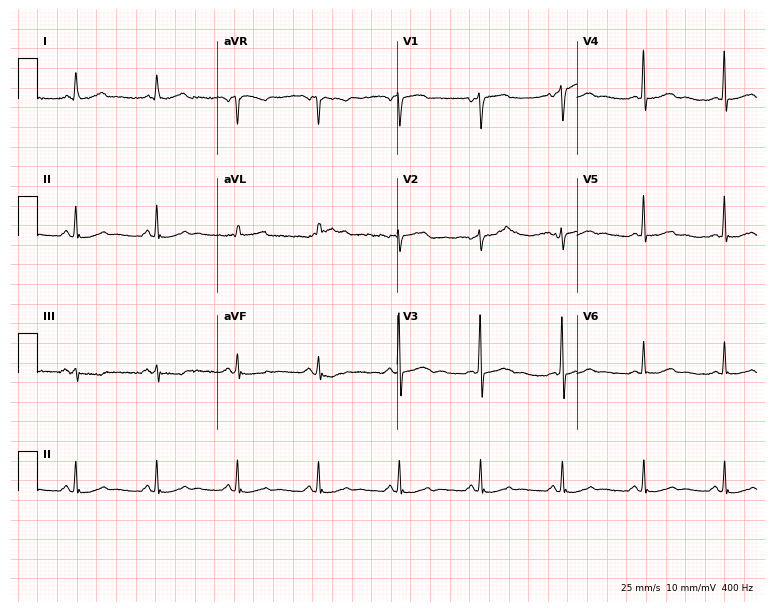
Standard 12-lead ECG recorded from a female, 45 years old (7.3-second recording at 400 Hz). None of these six findings is recorded: first-degree AV block, right bundle branch block (RBBB), left bundle branch block (LBBB), sinus bradycardia, atrial fibrillation (AF), sinus tachycardia.